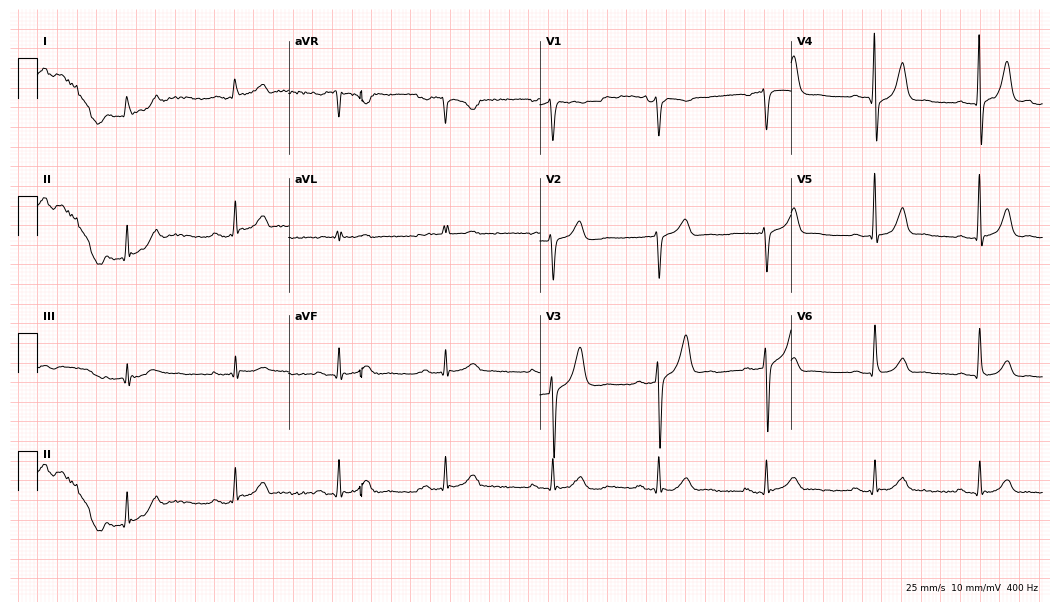
Electrocardiogram (10.2-second recording at 400 Hz), a man, 52 years old. Of the six screened findings (first-degree AV block, right bundle branch block, left bundle branch block, sinus bradycardia, atrial fibrillation, sinus tachycardia), none is recorded. Other findings, if any, are not listed.